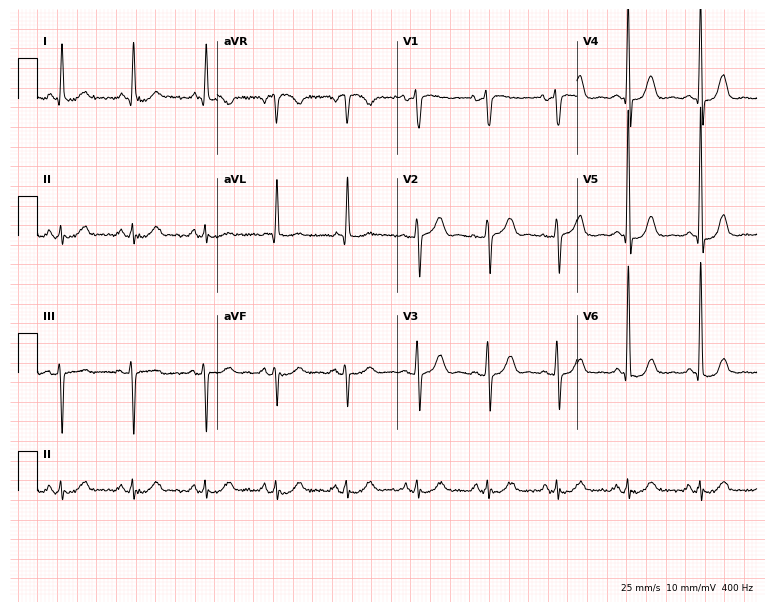
12-lead ECG (7.3-second recording at 400 Hz) from a 77-year-old woman. Labelled as a normal ECG.